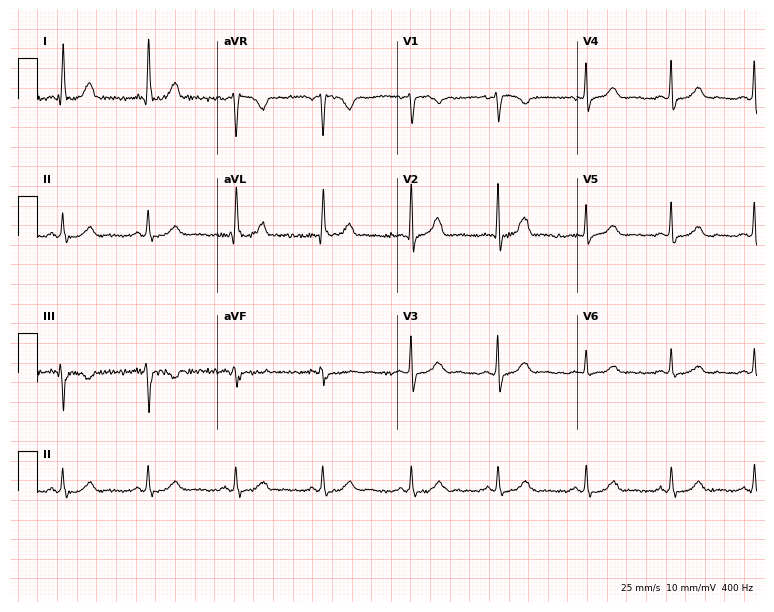
Standard 12-lead ECG recorded from a 42-year-old woman (7.3-second recording at 400 Hz). Read as a normal ECG.